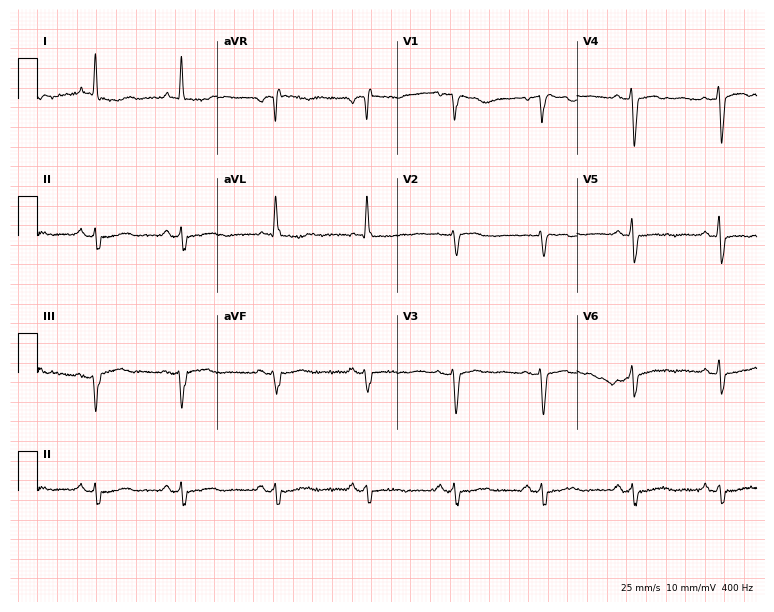
Resting 12-lead electrocardiogram (7.3-second recording at 400 Hz). Patient: an 80-year-old female. None of these six findings is recorded: first-degree AV block, right bundle branch block, left bundle branch block, sinus bradycardia, atrial fibrillation, sinus tachycardia.